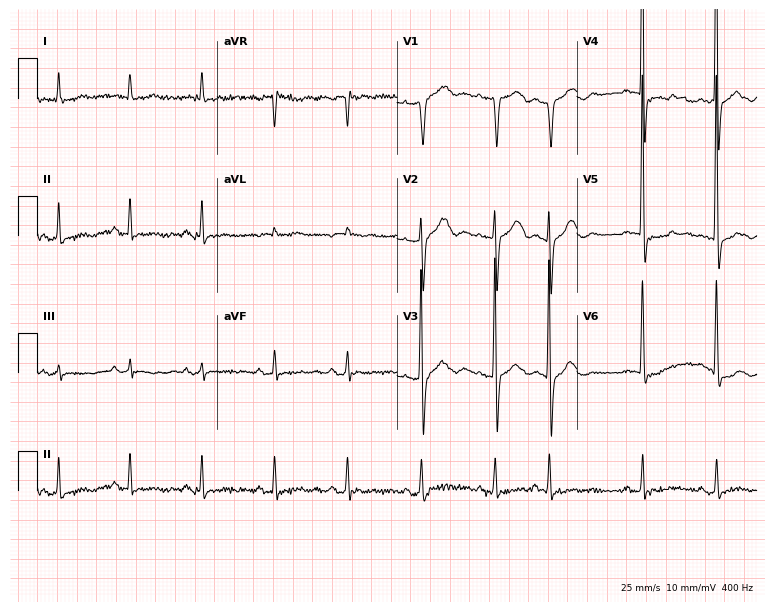
Standard 12-lead ECG recorded from a female, 83 years old. None of these six findings is recorded: first-degree AV block, right bundle branch block, left bundle branch block, sinus bradycardia, atrial fibrillation, sinus tachycardia. Other findings, if any, are not listed.